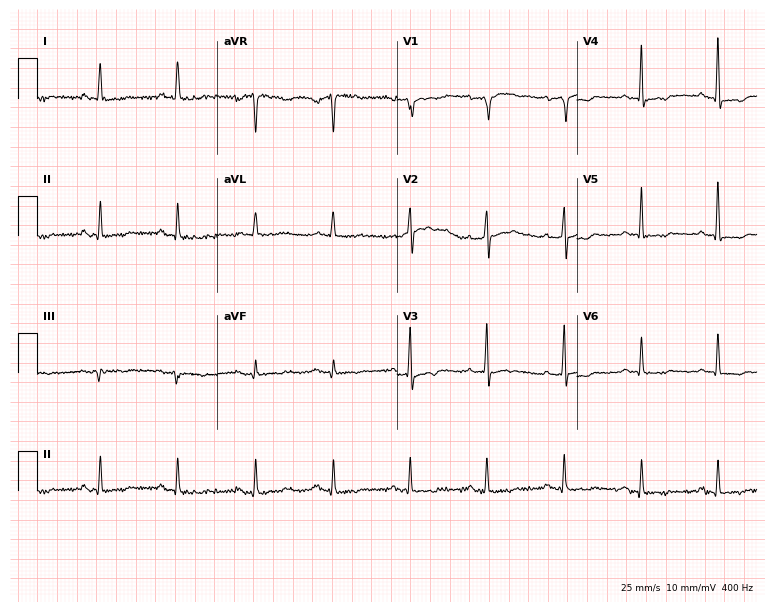
12-lead ECG from a 61-year-old male (7.3-second recording at 400 Hz). Recorded interpretation: within normal limits.